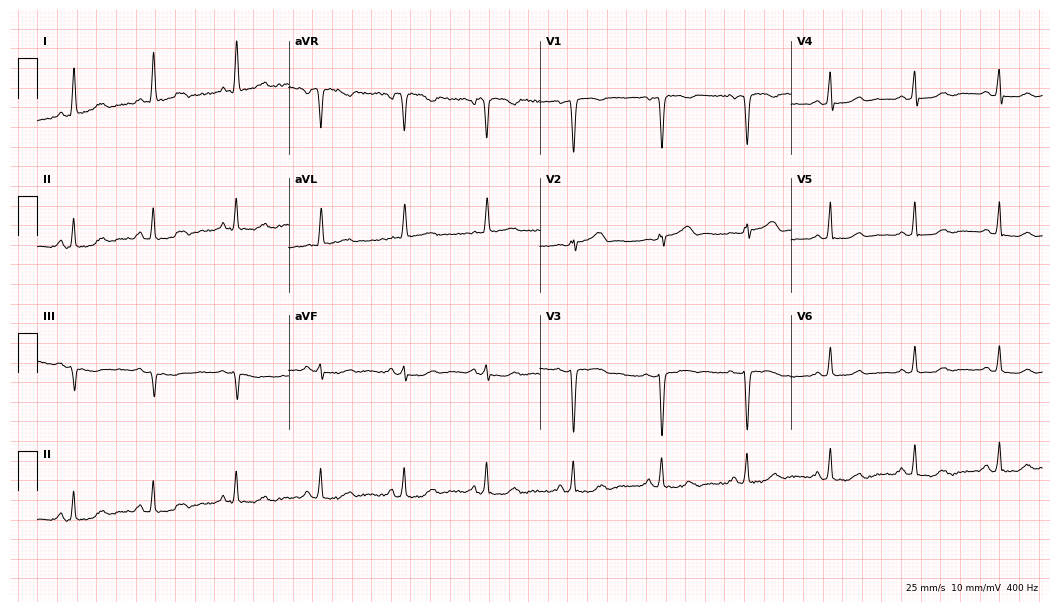
12-lead ECG from a 56-year-old female patient (10.2-second recording at 400 Hz). No first-degree AV block, right bundle branch block (RBBB), left bundle branch block (LBBB), sinus bradycardia, atrial fibrillation (AF) or sinus tachycardia recorded for this tracing.